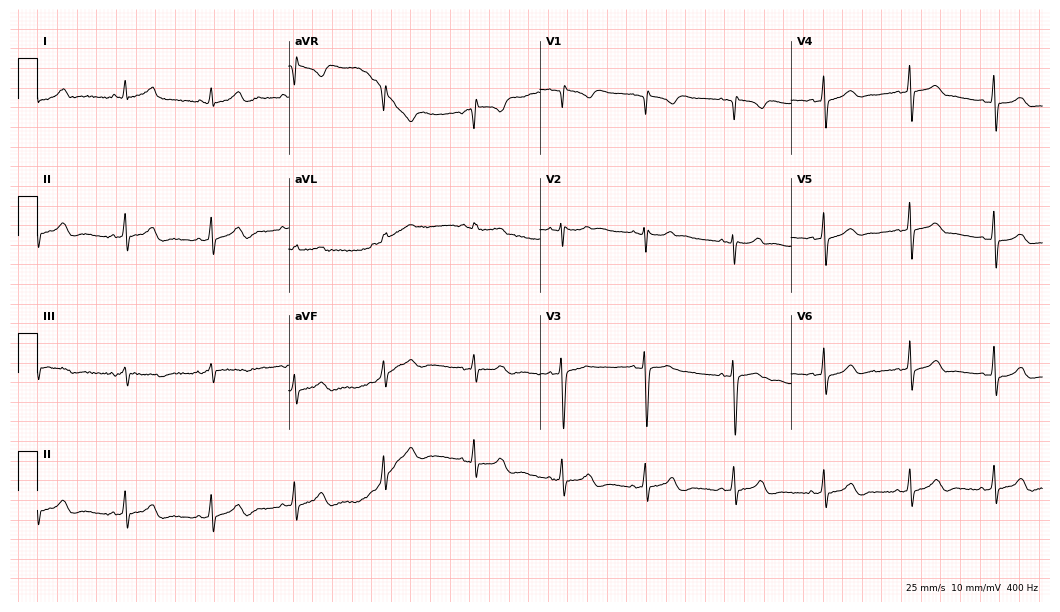
12-lead ECG from a female patient, 24 years old (10.2-second recording at 400 Hz). No first-degree AV block, right bundle branch block, left bundle branch block, sinus bradycardia, atrial fibrillation or sinus tachycardia recorded for this tracing. Findings outside these six are not listed.